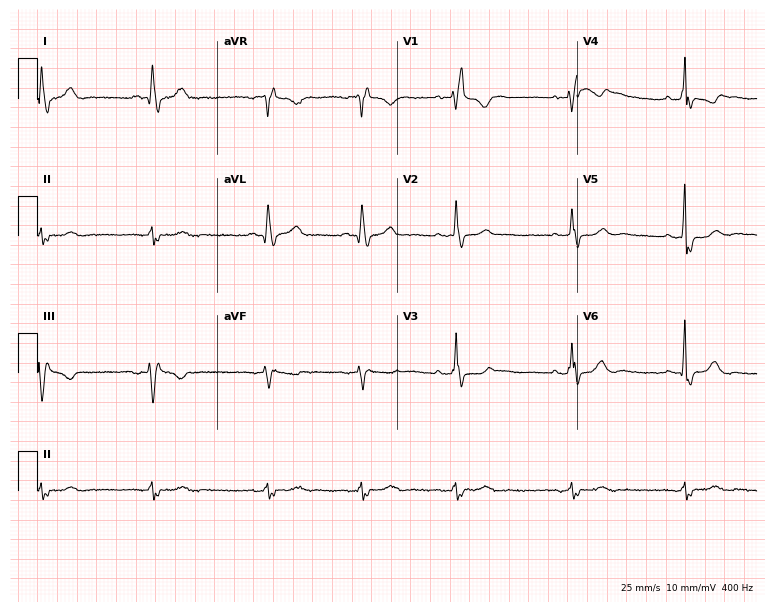
ECG — a 67-year-old man. Findings include right bundle branch block.